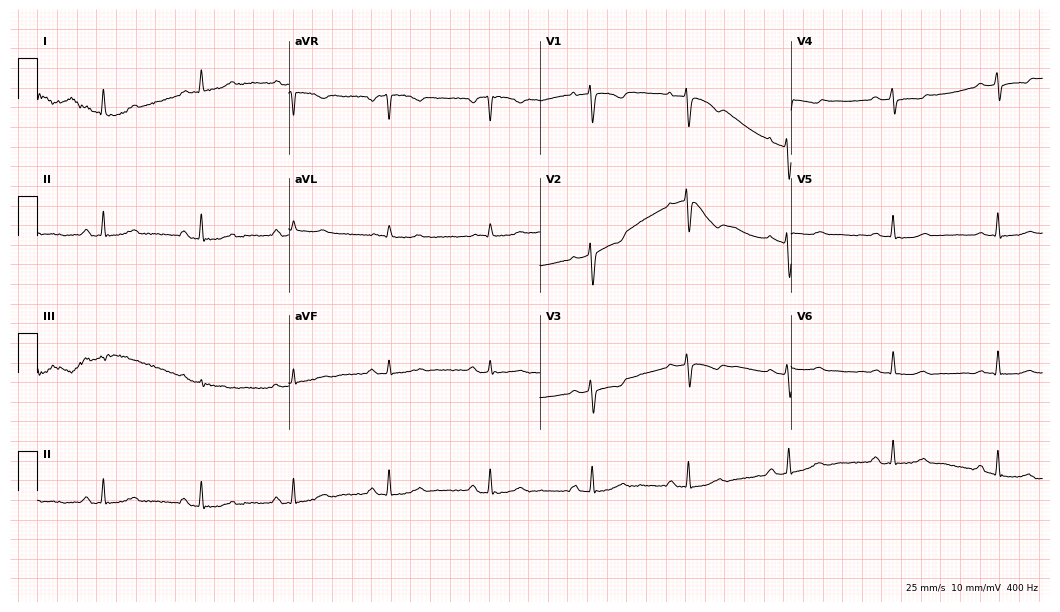
Electrocardiogram (10.2-second recording at 400 Hz), a 51-year-old female. Of the six screened findings (first-degree AV block, right bundle branch block (RBBB), left bundle branch block (LBBB), sinus bradycardia, atrial fibrillation (AF), sinus tachycardia), none is recorded. Other findings, if any, are not listed.